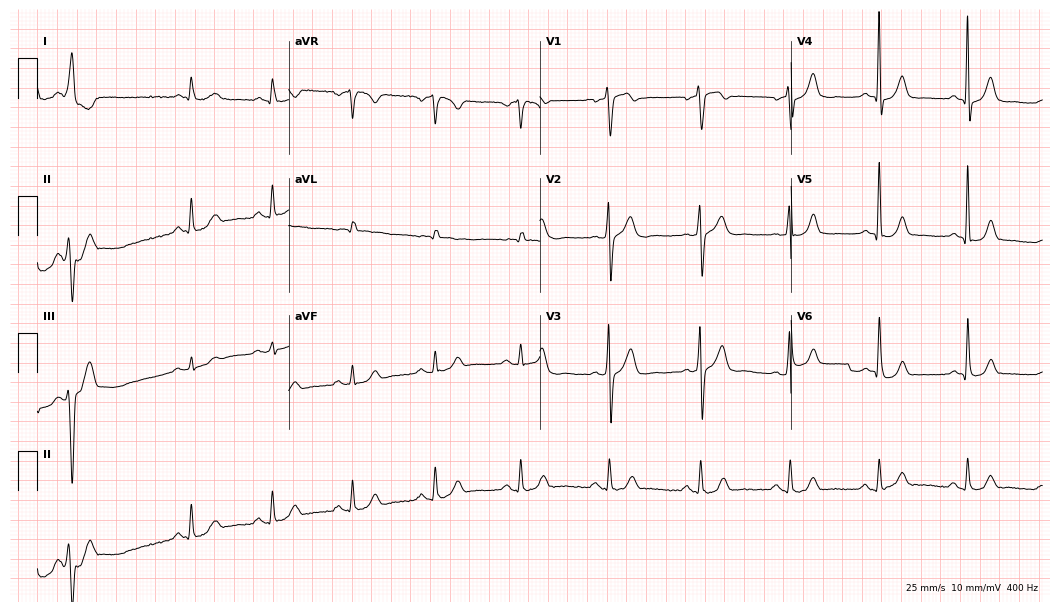
Standard 12-lead ECG recorded from a man, 68 years old. Read as a normal ECG.